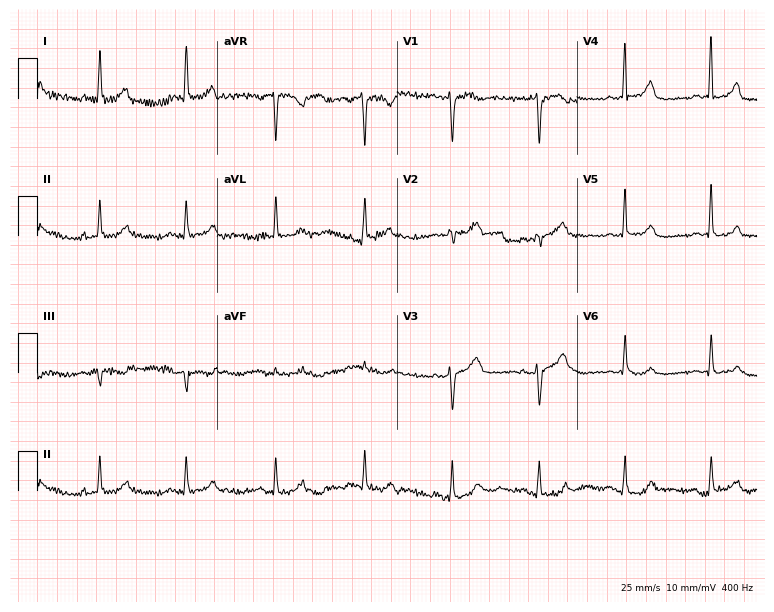
ECG (7.3-second recording at 400 Hz) — a 66-year-old woman. Screened for six findings — first-degree AV block, right bundle branch block, left bundle branch block, sinus bradycardia, atrial fibrillation, sinus tachycardia — none is recorded.